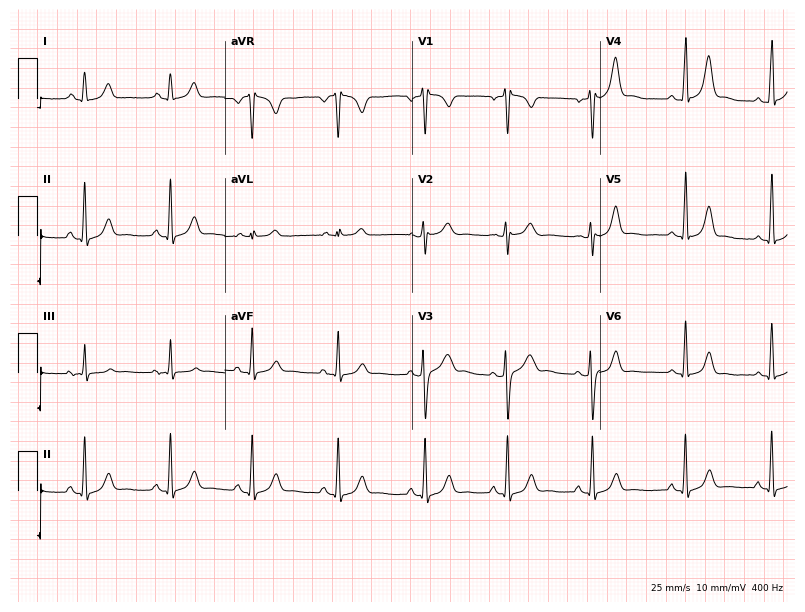
12-lead ECG (7.6-second recording at 400 Hz) from a woman, 27 years old. Screened for six findings — first-degree AV block, right bundle branch block, left bundle branch block, sinus bradycardia, atrial fibrillation, sinus tachycardia — none is recorded.